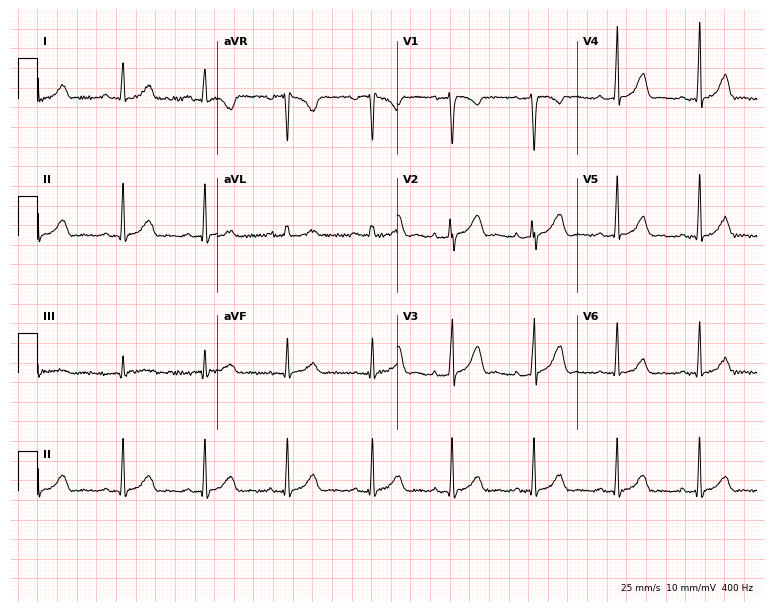
12-lead ECG from a female patient, 25 years old (7.3-second recording at 400 Hz). No first-degree AV block, right bundle branch block, left bundle branch block, sinus bradycardia, atrial fibrillation or sinus tachycardia recorded for this tracing. Findings outside these six are not listed.